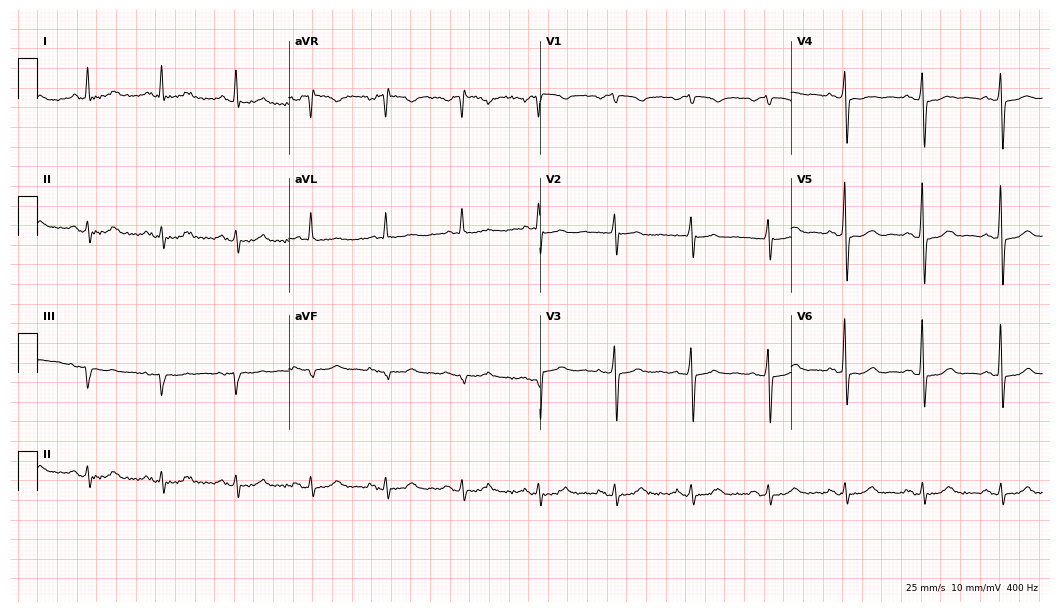
Resting 12-lead electrocardiogram (10.2-second recording at 400 Hz). Patient: a 73-year-old female. None of these six findings is recorded: first-degree AV block, right bundle branch block, left bundle branch block, sinus bradycardia, atrial fibrillation, sinus tachycardia. Only these six findings were labelled.